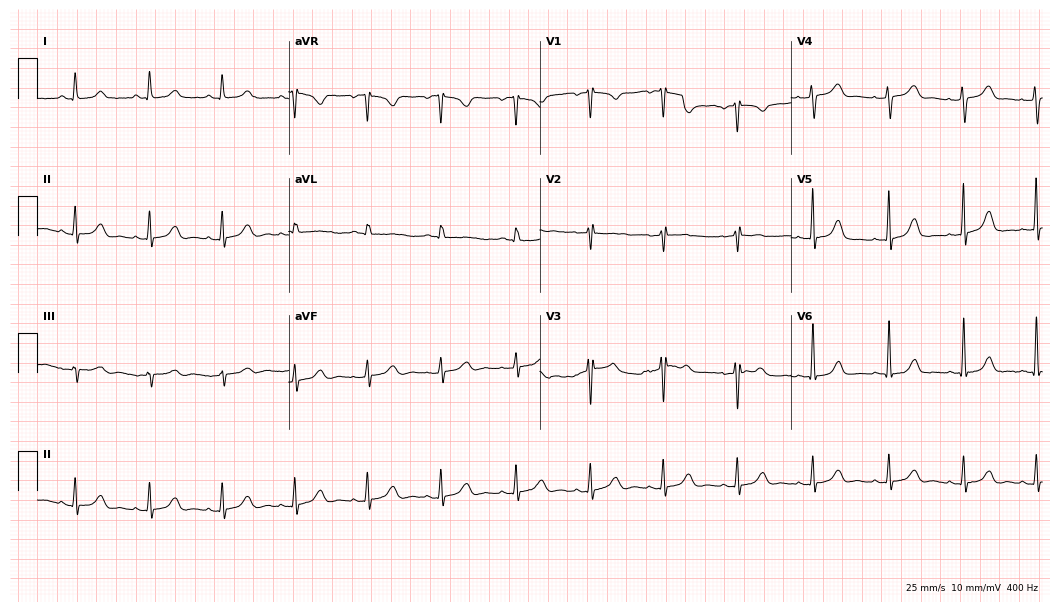
Resting 12-lead electrocardiogram. Patient: a woman, 42 years old. None of these six findings is recorded: first-degree AV block, right bundle branch block, left bundle branch block, sinus bradycardia, atrial fibrillation, sinus tachycardia.